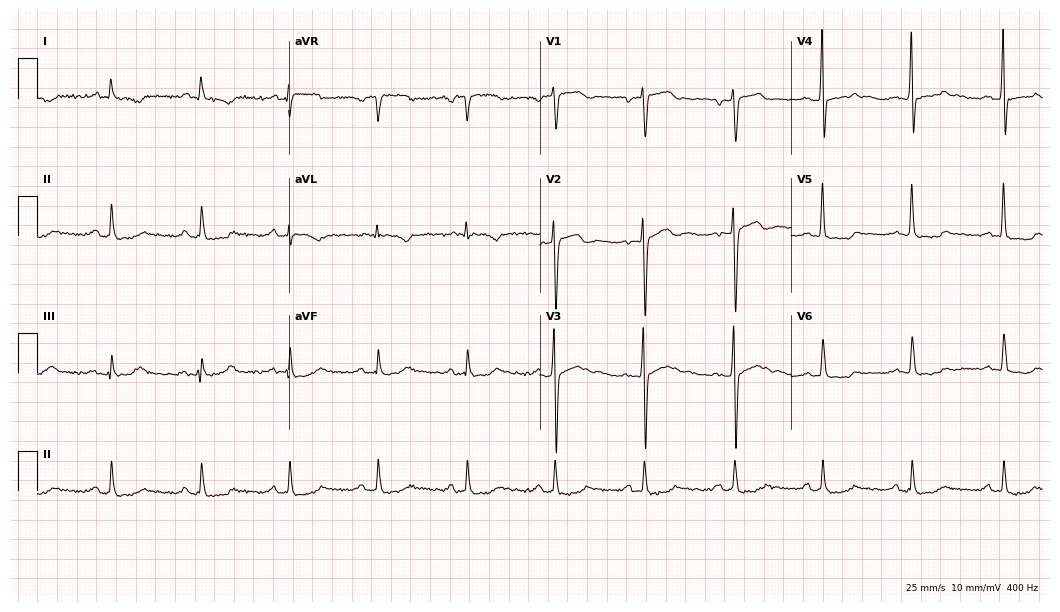
Resting 12-lead electrocardiogram (10.2-second recording at 400 Hz). Patient: a male, 57 years old. None of these six findings is recorded: first-degree AV block, right bundle branch block, left bundle branch block, sinus bradycardia, atrial fibrillation, sinus tachycardia. Only these six findings were labelled.